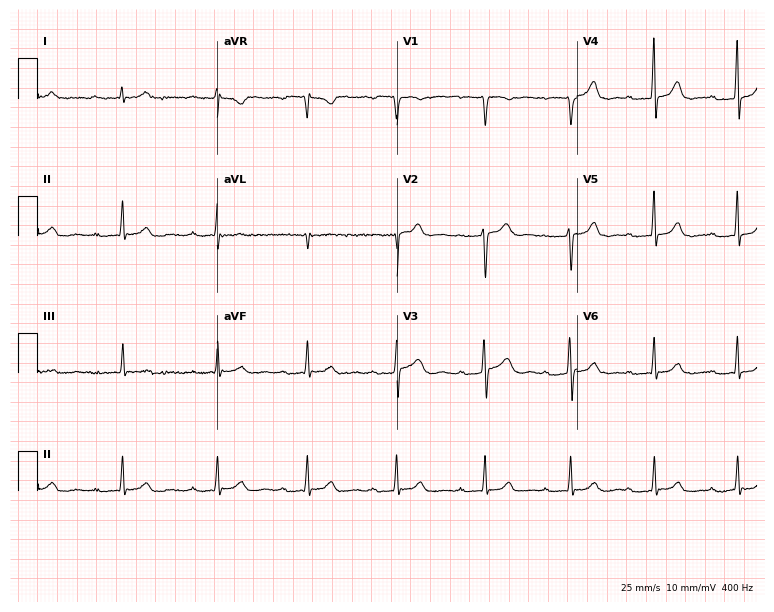
12-lead ECG from a male, 42 years old. Findings include first-degree AV block.